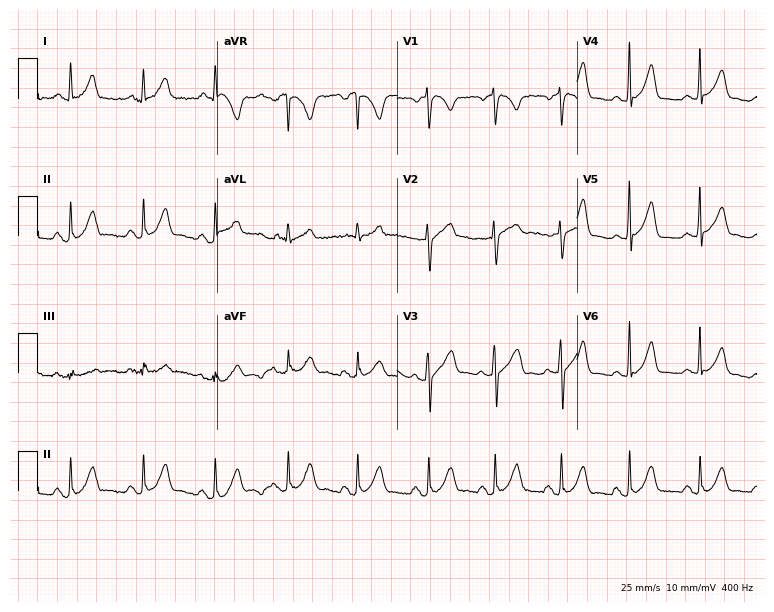
12-lead ECG from a male, 25 years old. Labelled as a normal ECG.